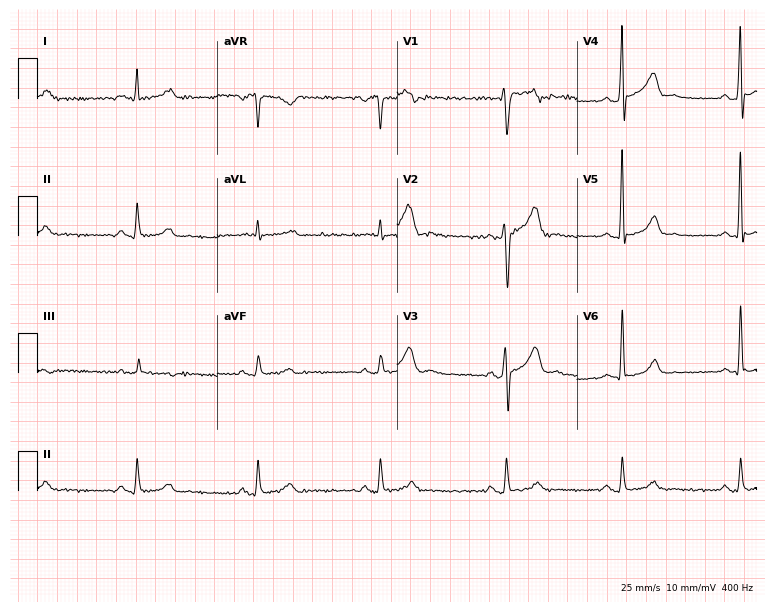
Electrocardiogram, a male patient, 32 years old. Of the six screened findings (first-degree AV block, right bundle branch block (RBBB), left bundle branch block (LBBB), sinus bradycardia, atrial fibrillation (AF), sinus tachycardia), none is recorded. Other findings, if any, are not listed.